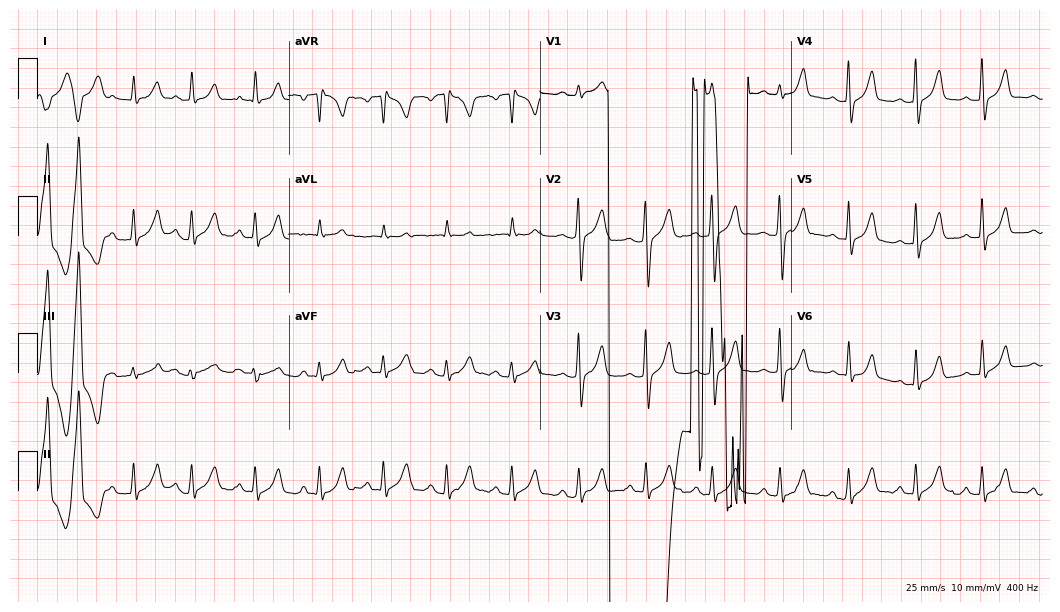
12-lead ECG from a female, 36 years old (10.2-second recording at 400 Hz). No first-degree AV block, right bundle branch block, left bundle branch block, sinus bradycardia, atrial fibrillation or sinus tachycardia recorded for this tracing. Only these six findings were labelled.